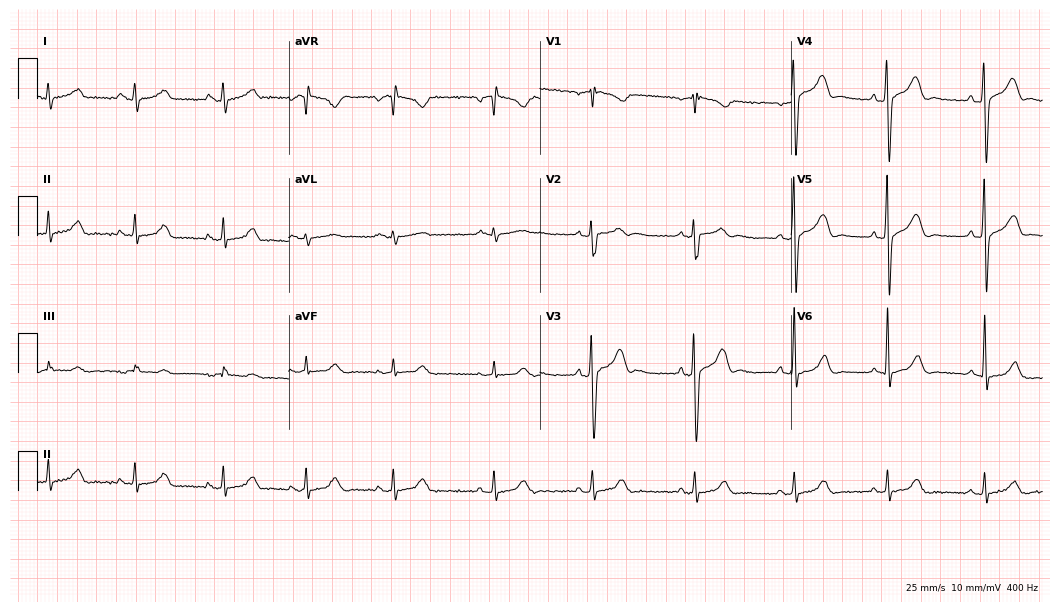
Standard 12-lead ECG recorded from a 47-year-old female. Read as a normal ECG.